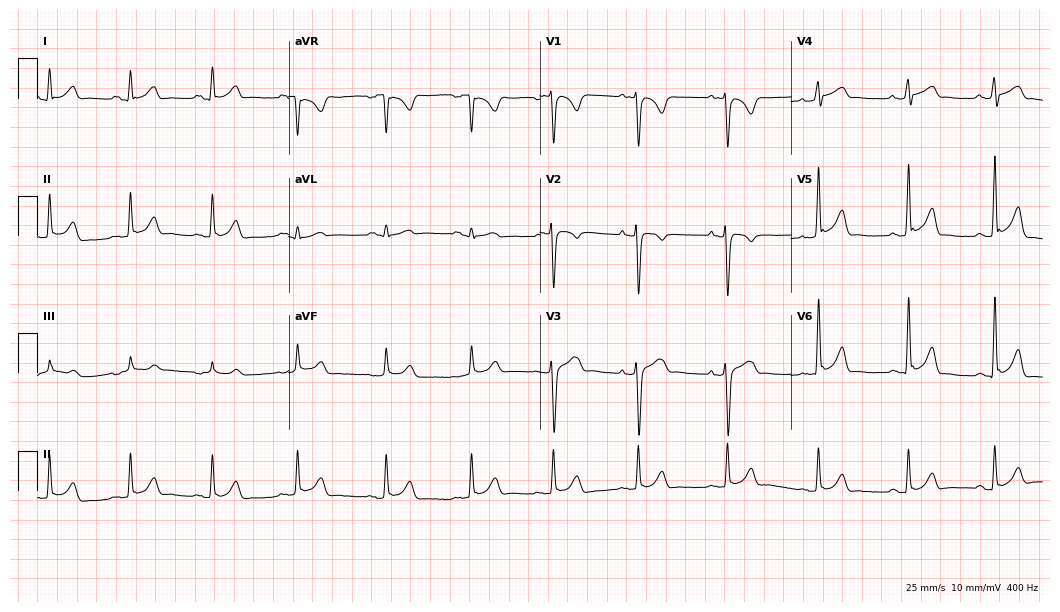
ECG — a man, 23 years old. Labelled as a normal ECG.